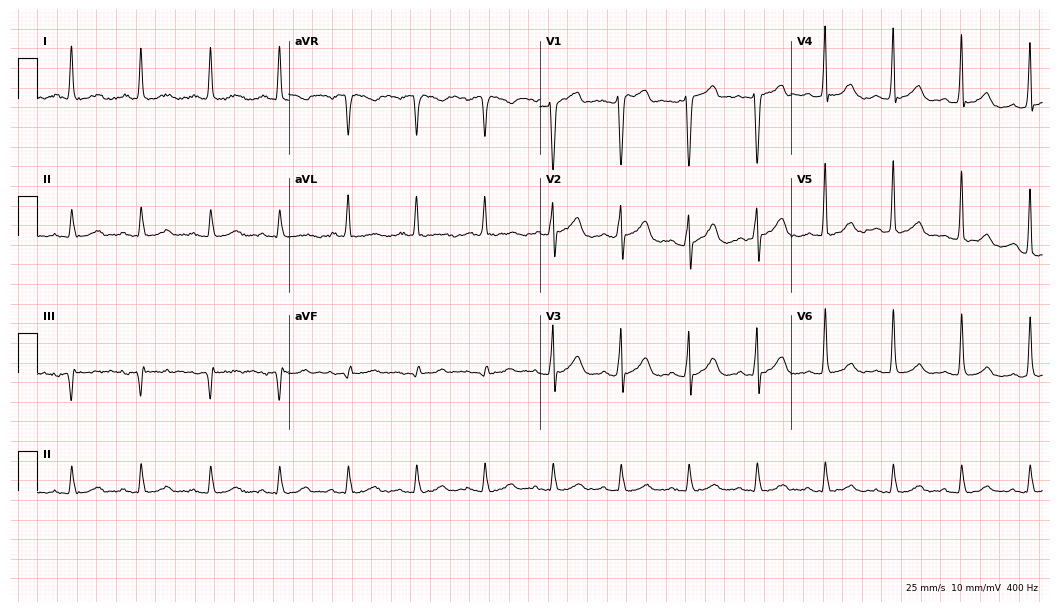
12-lead ECG (10.2-second recording at 400 Hz) from a male, 69 years old. Labelled as a normal ECG.